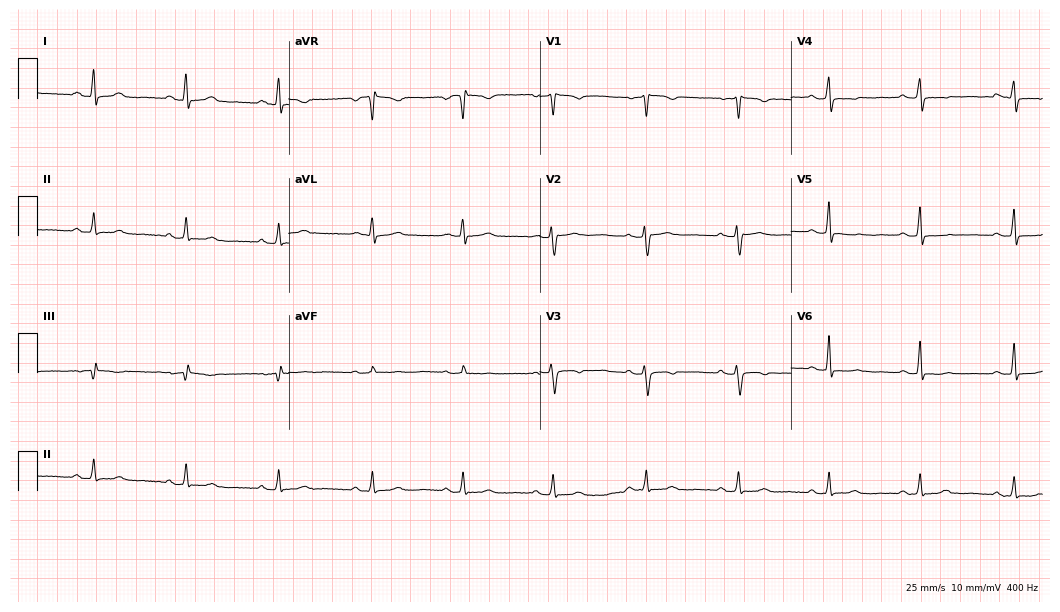
12-lead ECG (10.2-second recording at 400 Hz) from a 51-year-old female. Screened for six findings — first-degree AV block, right bundle branch block, left bundle branch block, sinus bradycardia, atrial fibrillation, sinus tachycardia — none is recorded.